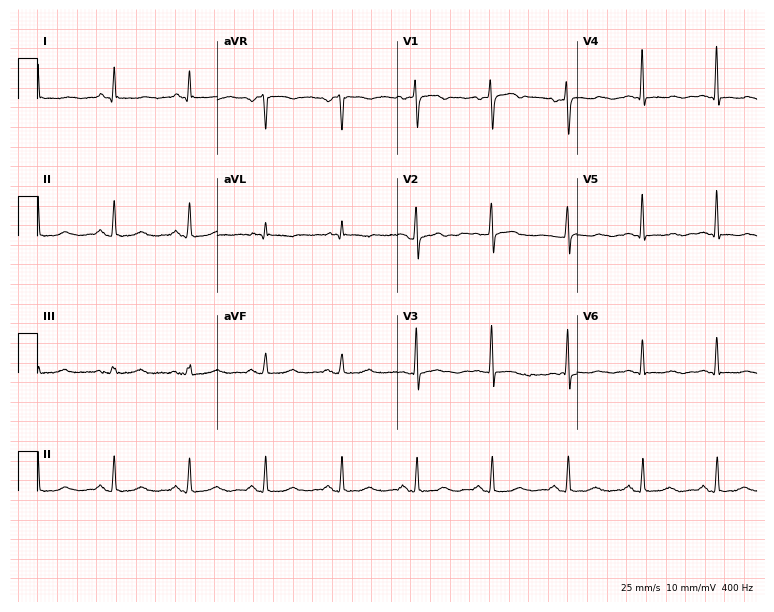
12-lead ECG from a 61-year-old male patient. No first-degree AV block, right bundle branch block, left bundle branch block, sinus bradycardia, atrial fibrillation or sinus tachycardia recorded for this tracing.